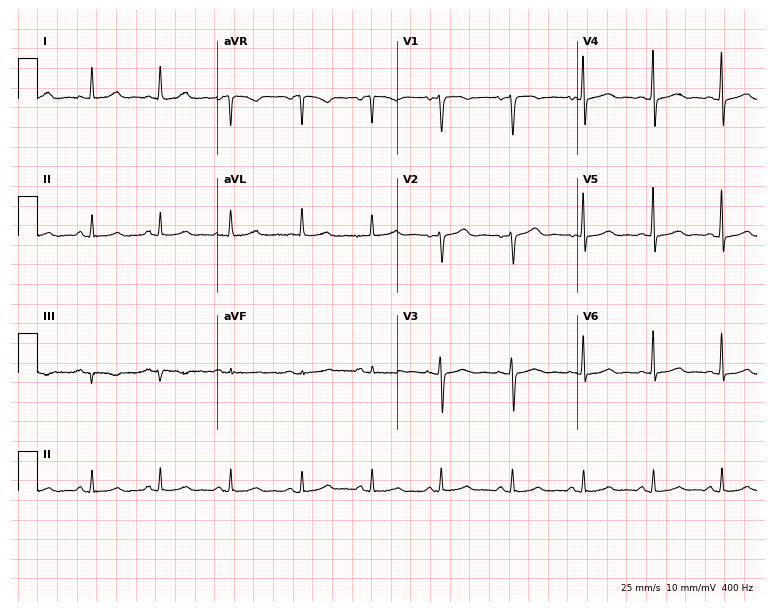
ECG — a female, 45 years old. Labelled as a normal ECG.